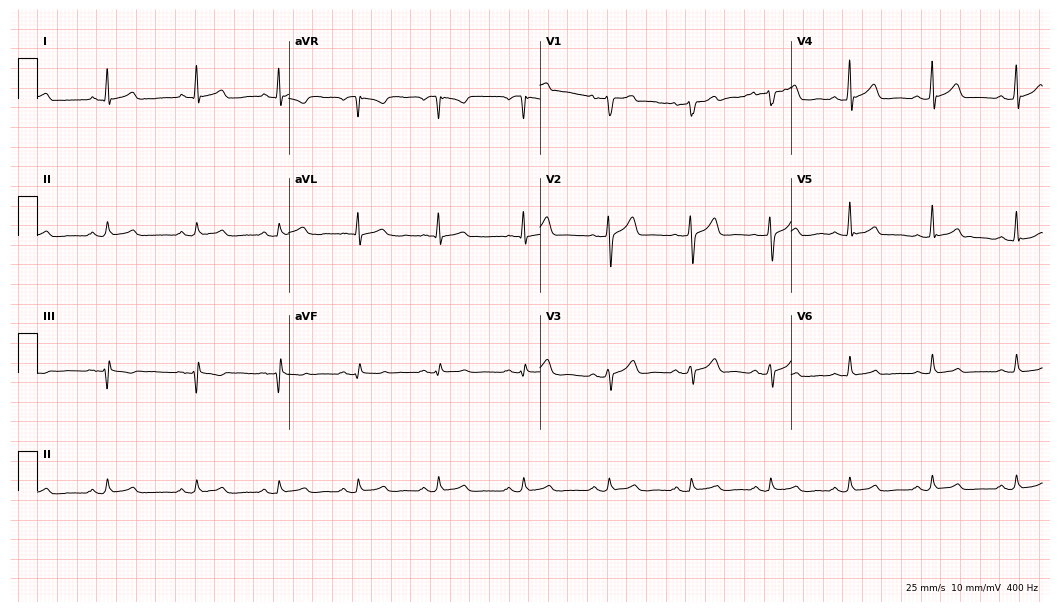
Resting 12-lead electrocardiogram (10.2-second recording at 400 Hz). Patient: a man, 38 years old. Read as a normal ECG.